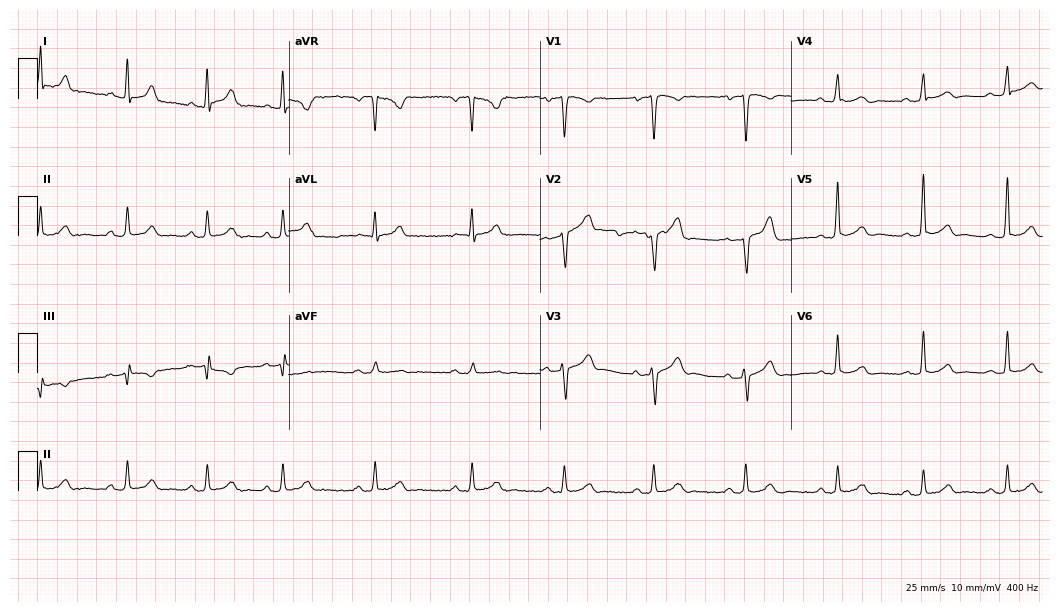
Electrocardiogram, a man, 46 years old. Overall reading on record: normal ECG.